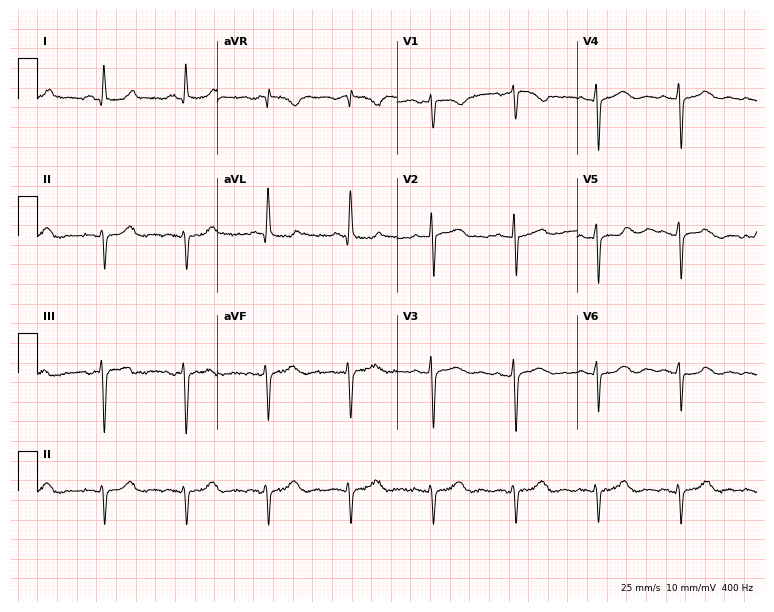
Electrocardiogram (7.3-second recording at 400 Hz), a female, 70 years old. Of the six screened findings (first-degree AV block, right bundle branch block (RBBB), left bundle branch block (LBBB), sinus bradycardia, atrial fibrillation (AF), sinus tachycardia), none is recorded.